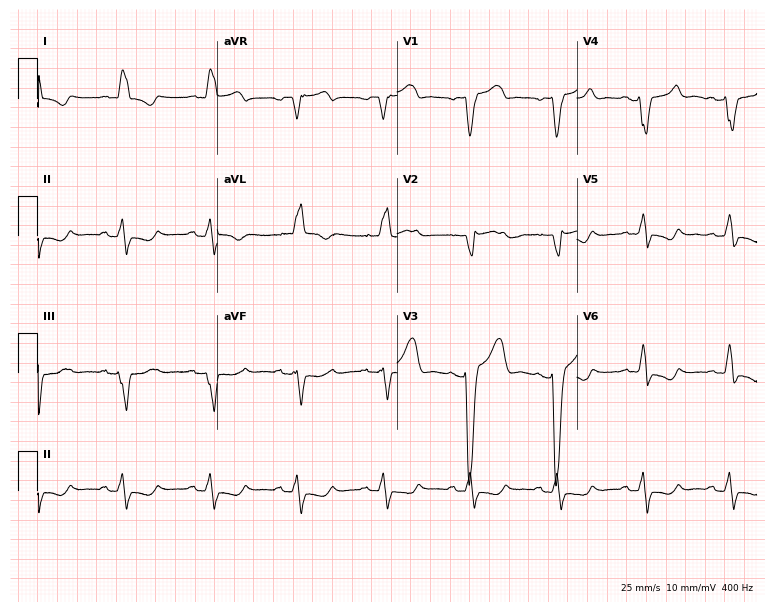
Resting 12-lead electrocardiogram. Patient: a male, 68 years old. The tracing shows left bundle branch block (LBBB).